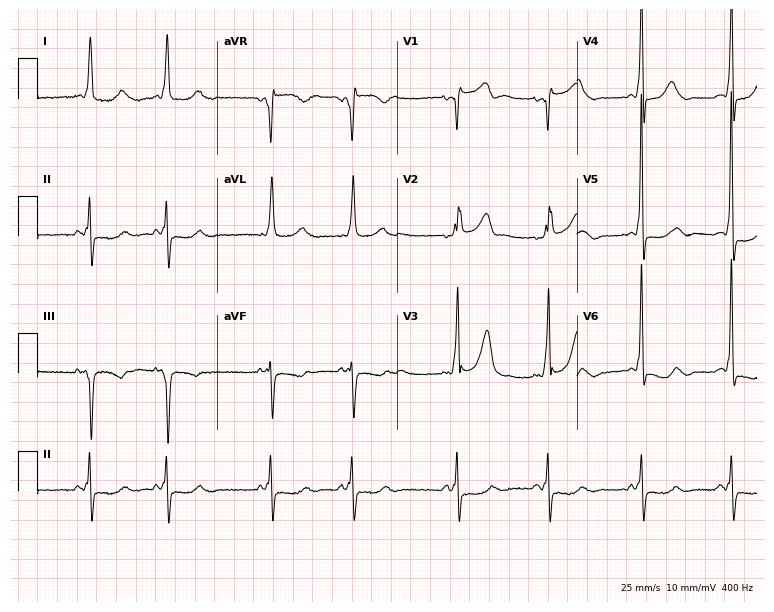
Resting 12-lead electrocardiogram (7.3-second recording at 400 Hz). Patient: a woman, 73 years old. None of these six findings is recorded: first-degree AV block, right bundle branch block, left bundle branch block, sinus bradycardia, atrial fibrillation, sinus tachycardia.